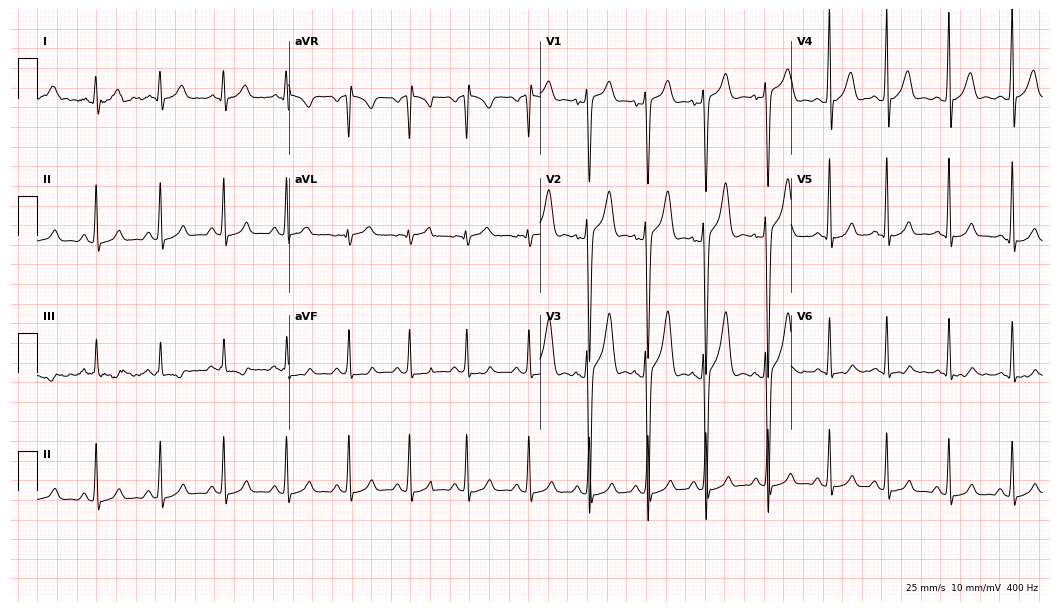
ECG — a 23-year-old male patient. Labelled as a normal ECG.